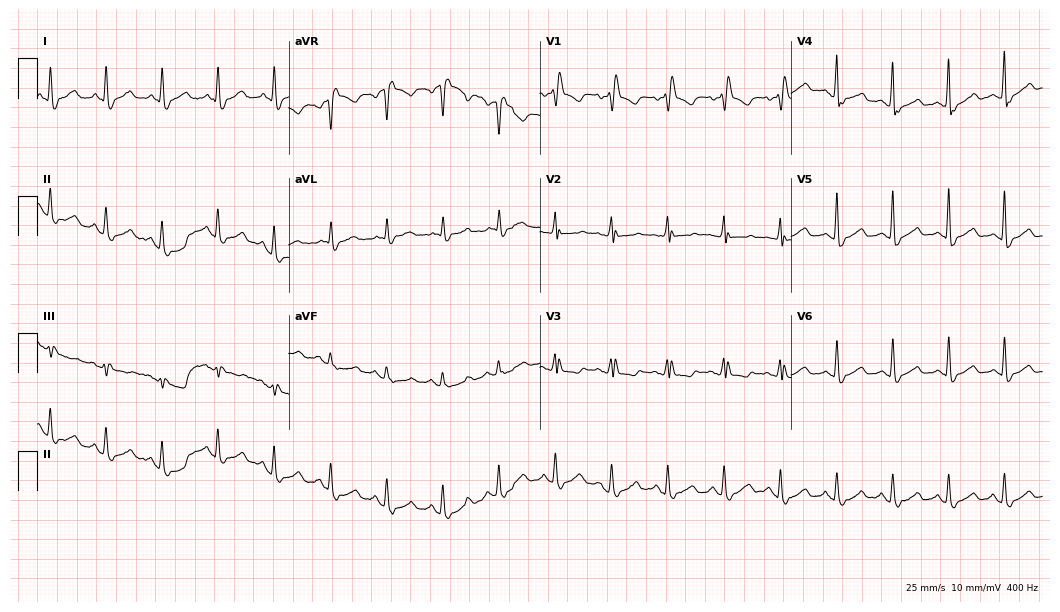
ECG (10.2-second recording at 400 Hz) — a 78-year-old female. Findings include right bundle branch block (RBBB), sinus tachycardia (a sinus rate of 100 beats per minute or more).